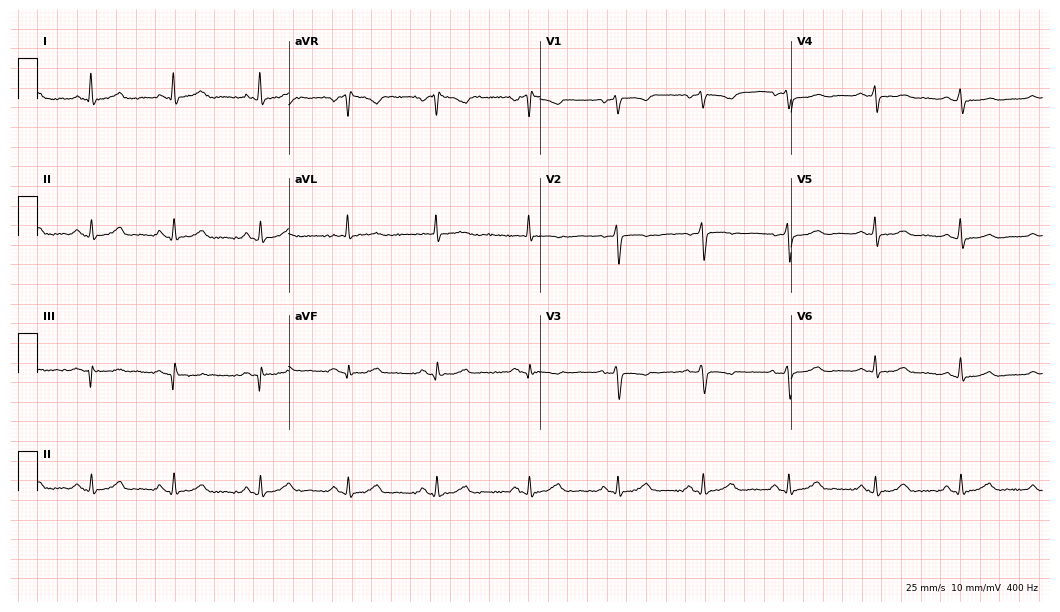
Standard 12-lead ECG recorded from a female, 58 years old (10.2-second recording at 400 Hz). Read as a normal ECG.